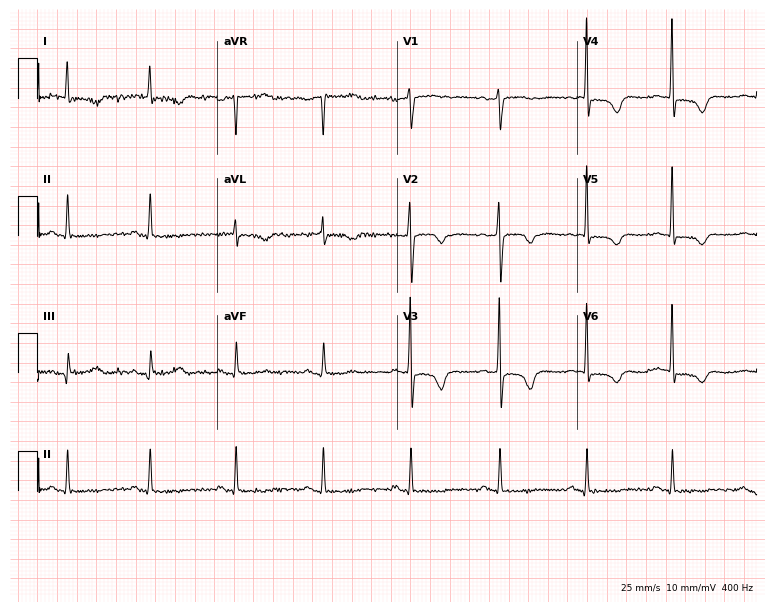
ECG — an 84-year-old female patient. Screened for six findings — first-degree AV block, right bundle branch block, left bundle branch block, sinus bradycardia, atrial fibrillation, sinus tachycardia — none is recorded. Other findings, if any, are not listed.